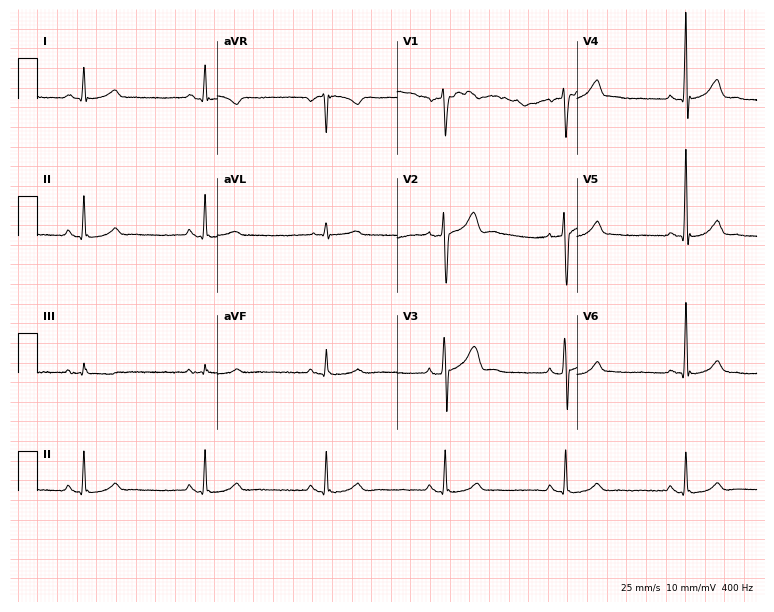
Standard 12-lead ECG recorded from a 51-year-old man. The tracing shows sinus bradycardia (a sinus rate of 50 beats per minute or less).